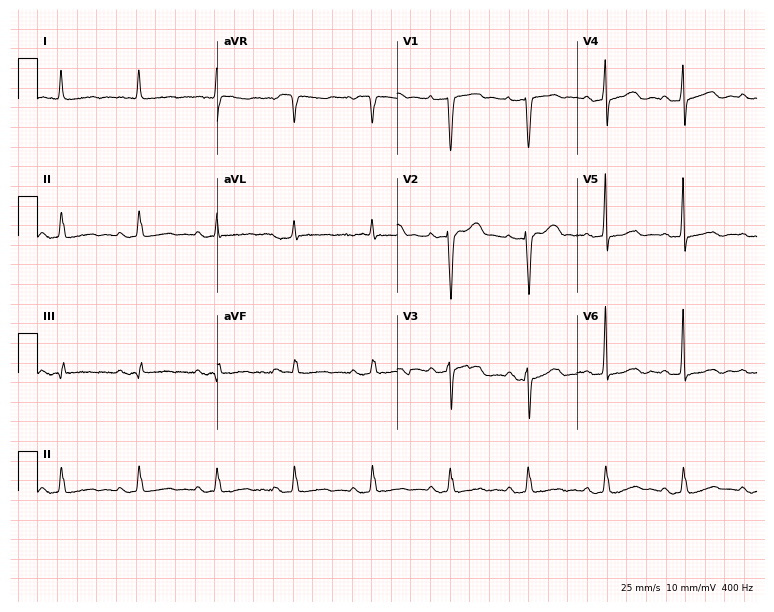
Standard 12-lead ECG recorded from an 82-year-old female patient. Read as a normal ECG.